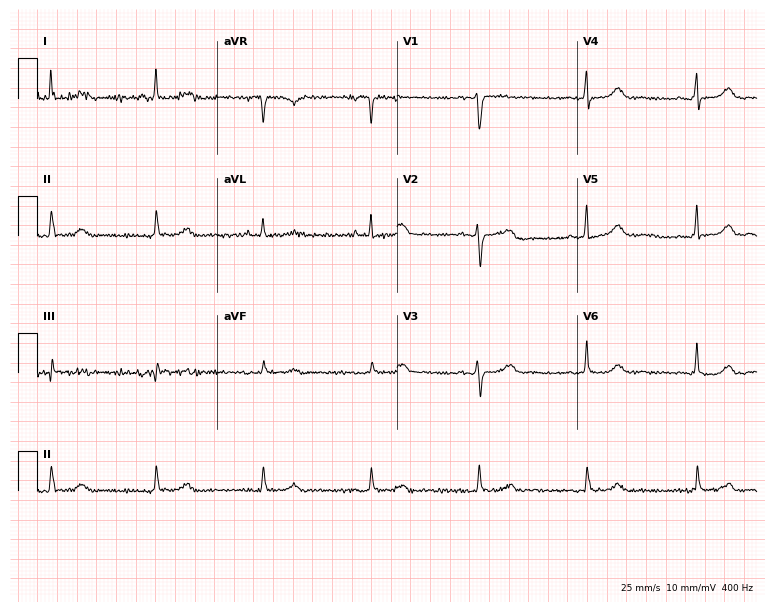
12-lead ECG from a 61-year-old female (7.3-second recording at 400 Hz). Recorded interpretation: within normal limits.